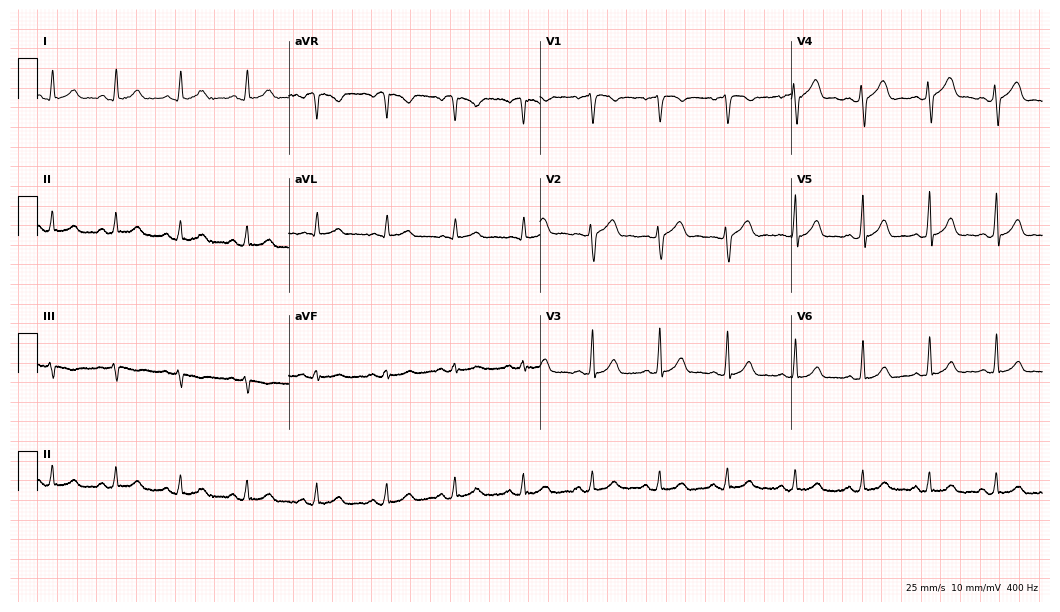
12-lead ECG from a female patient, 38 years old. Recorded interpretation: within normal limits.